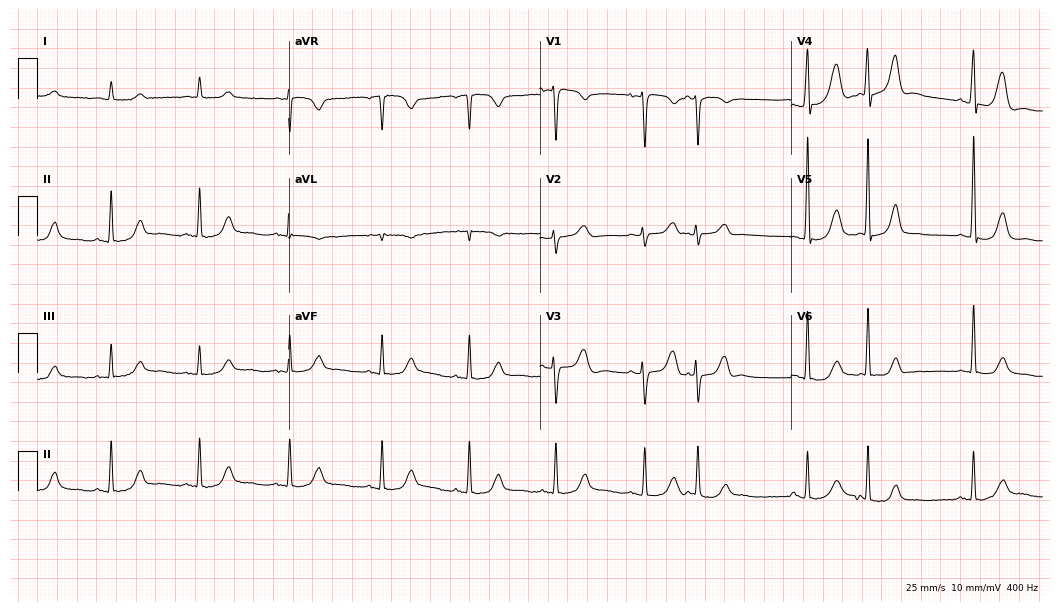
12-lead ECG from a woman, 81 years old (10.2-second recording at 400 Hz). No first-degree AV block, right bundle branch block (RBBB), left bundle branch block (LBBB), sinus bradycardia, atrial fibrillation (AF) or sinus tachycardia recorded for this tracing.